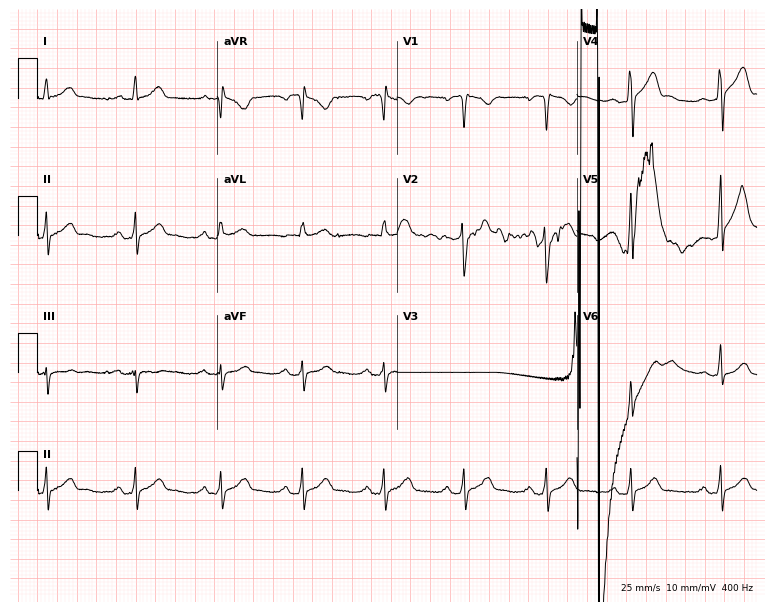
ECG — a male, 36 years old. Screened for six findings — first-degree AV block, right bundle branch block, left bundle branch block, sinus bradycardia, atrial fibrillation, sinus tachycardia — none is recorded.